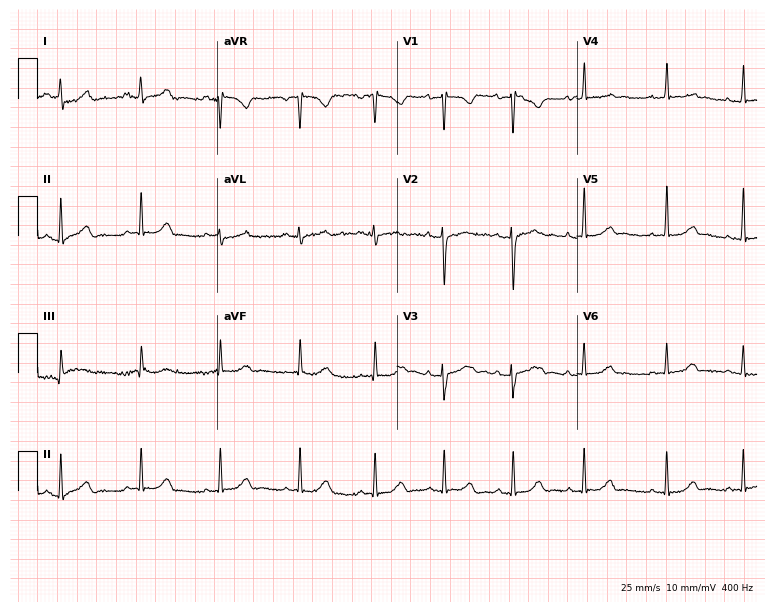
12-lead ECG from a female, 17 years old. Screened for six findings — first-degree AV block, right bundle branch block, left bundle branch block, sinus bradycardia, atrial fibrillation, sinus tachycardia — none is recorded. Findings outside these six are not listed.